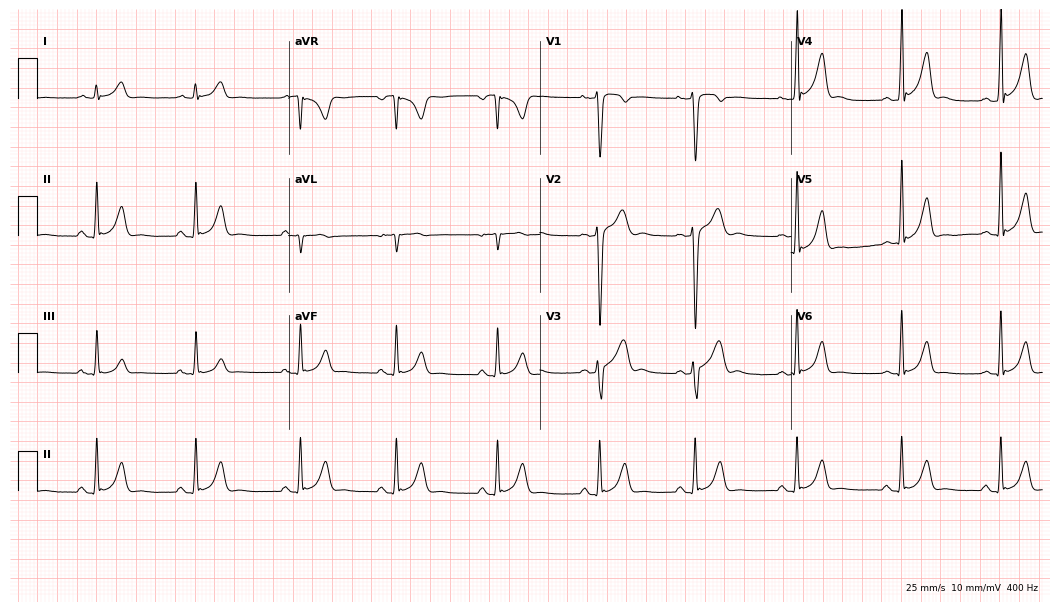
12-lead ECG (10.2-second recording at 400 Hz) from a 19-year-old male. Labelled as a normal ECG.